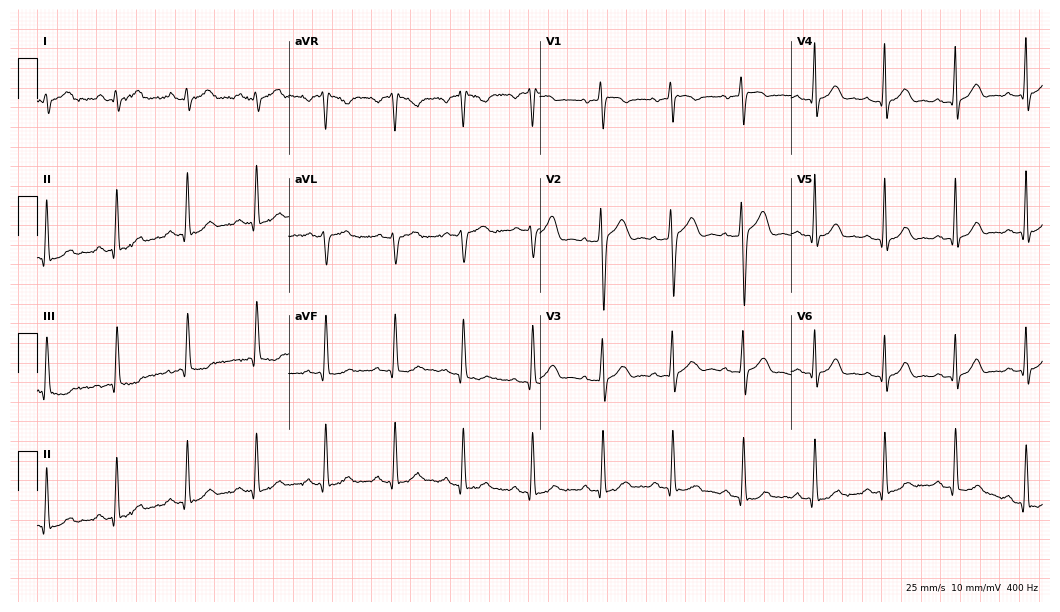
Electrocardiogram, a 36-year-old male. Of the six screened findings (first-degree AV block, right bundle branch block, left bundle branch block, sinus bradycardia, atrial fibrillation, sinus tachycardia), none is recorded. Findings outside these six are not listed.